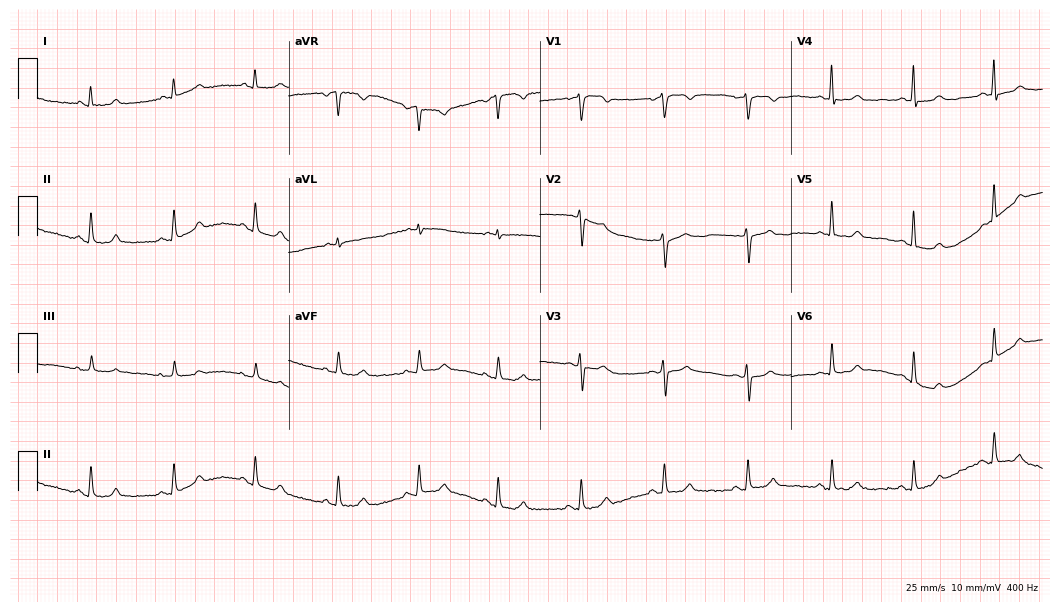
Electrocardiogram, a 52-year-old female patient. Of the six screened findings (first-degree AV block, right bundle branch block, left bundle branch block, sinus bradycardia, atrial fibrillation, sinus tachycardia), none is recorded.